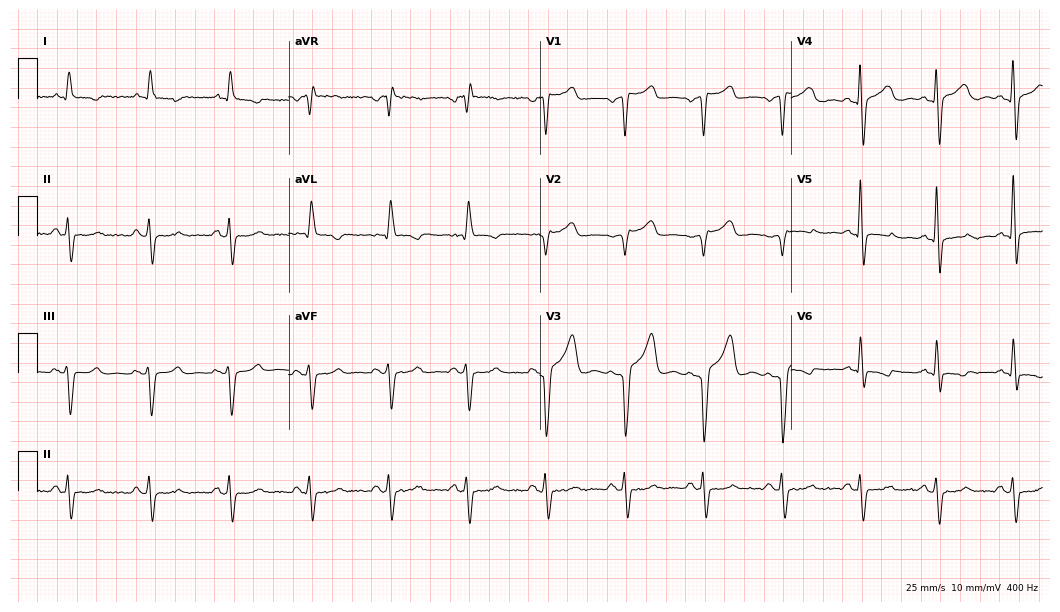
ECG — a 72-year-old male. Screened for six findings — first-degree AV block, right bundle branch block, left bundle branch block, sinus bradycardia, atrial fibrillation, sinus tachycardia — none is recorded.